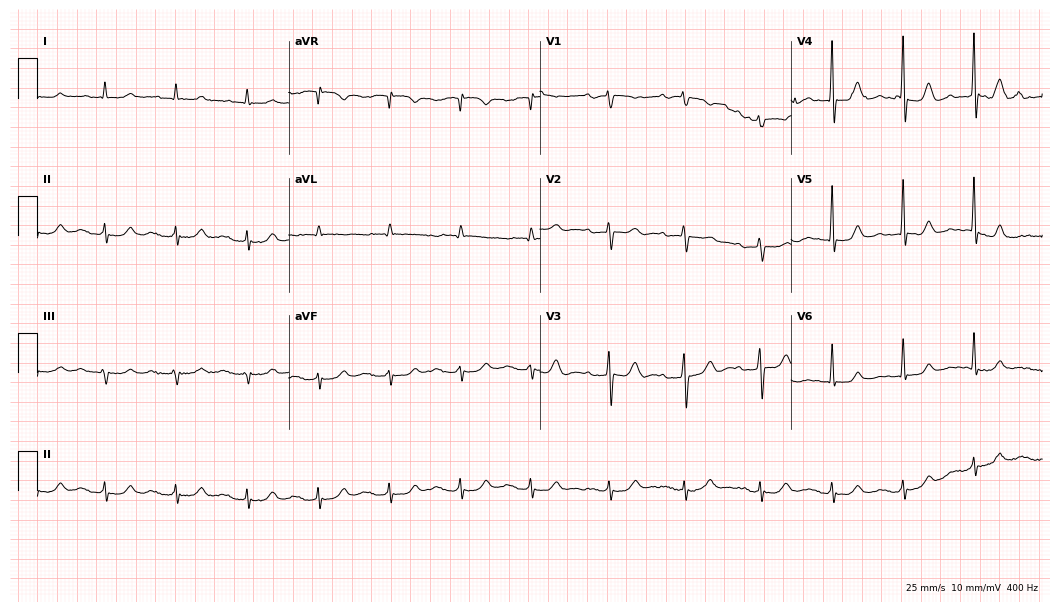
12-lead ECG from a 69-year-old male (10.2-second recording at 400 Hz). Shows first-degree AV block.